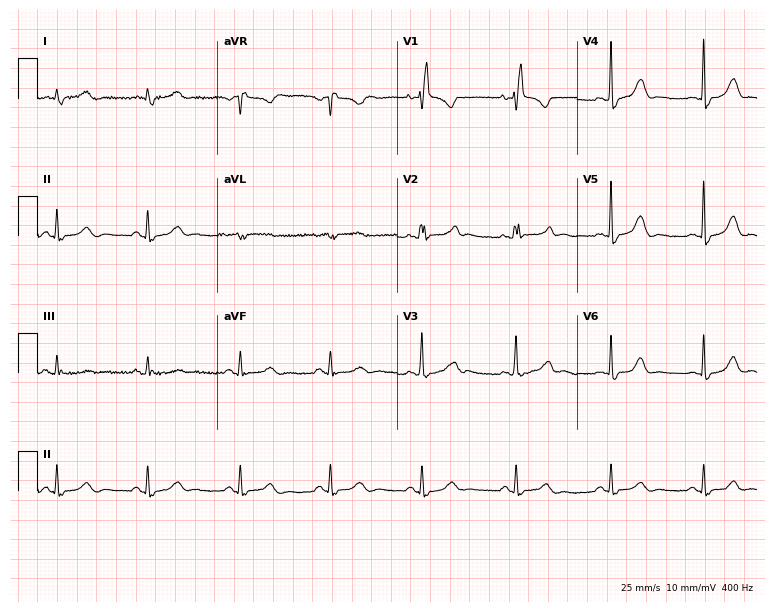
12-lead ECG from a 69-year-old female patient. No first-degree AV block, right bundle branch block (RBBB), left bundle branch block (LBBB), sinus bradycardia, atrial fibrillation (AF) or sinus tachycardia recorded for this tracing. Findings outside these six are not listed.